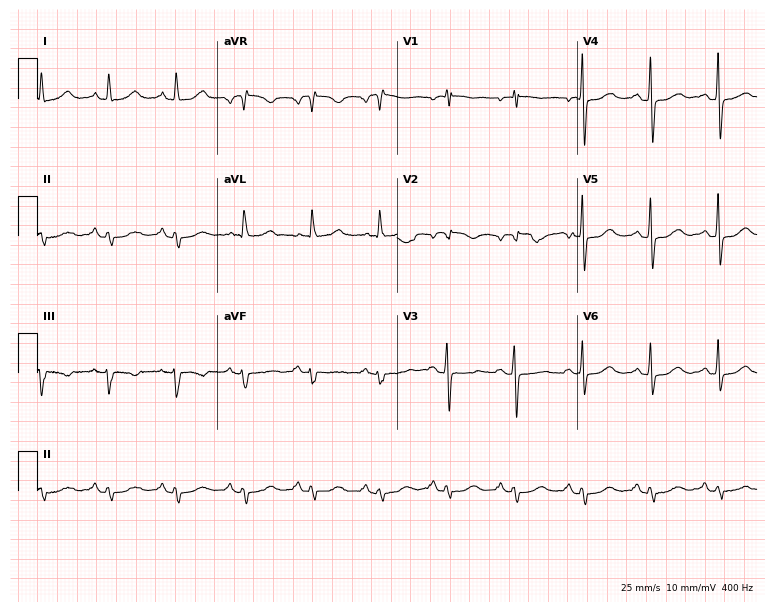
12-lead ECG from a woman, 66 years old. Screened for six findings — first-degree AV block, right bundle branch block, left bundle branch block, sinus bradycardia, atrial fibrillation, sinus tachycardia — none is recorded. Other findings, if any, are not listed.